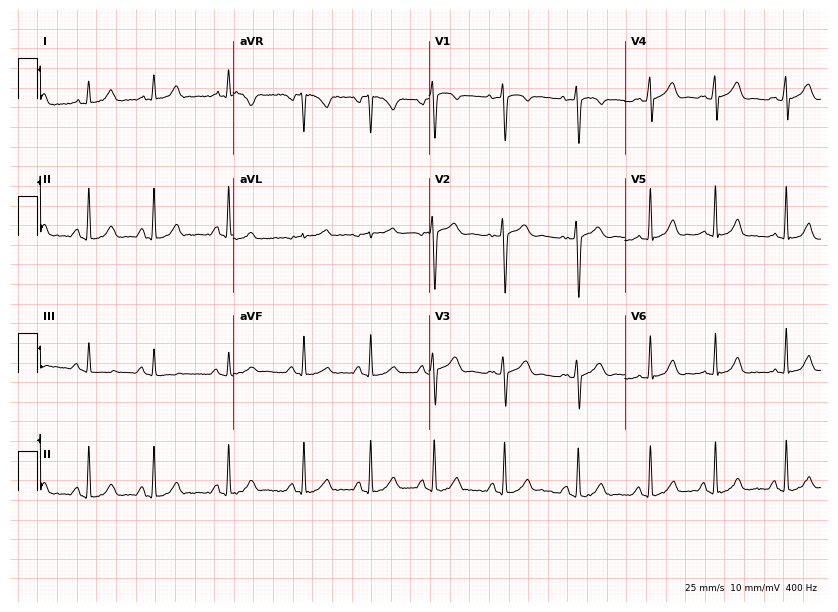
Electrocardiogram, a 27-year-old female. Of the six screened findings (first-degree AV block, right bundle branch block (RBBB), left bundle branch block (LBBB), sinus bradycardia, atrial fibrillation (AF), sinus tachycardia), none is recorded.